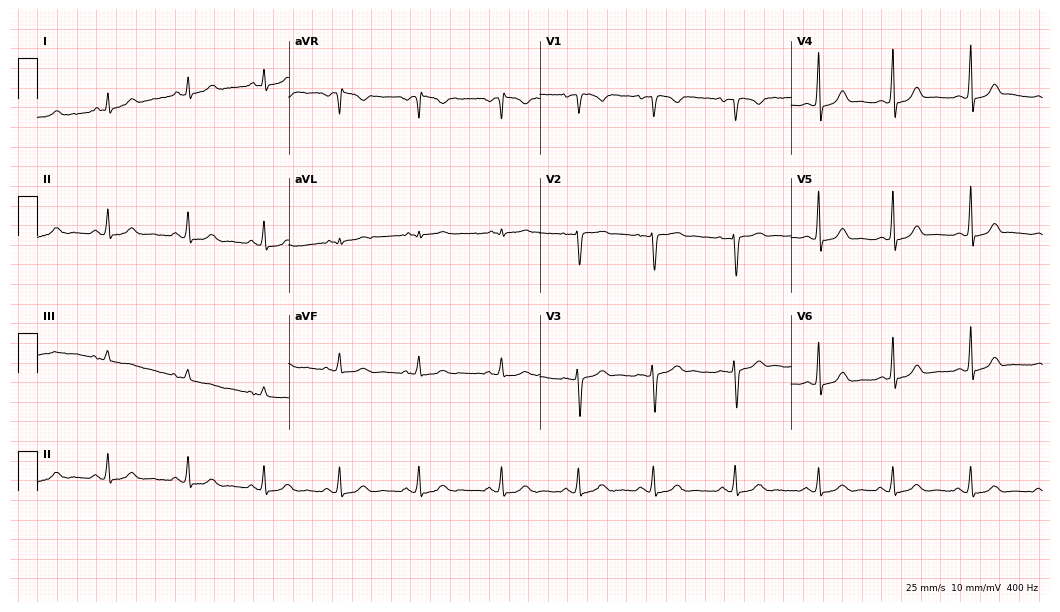
Standard 12-lead ECG recorded from a female patient, 28 years old (10.2-second recording at 400 Hz). None of these six findings is recorded: first-degree AV block, right bundle branch block, left bundle branch block, sinus bradycardia, atrial fibrillation, sinus tachycardia. Only these six findings were labelled.